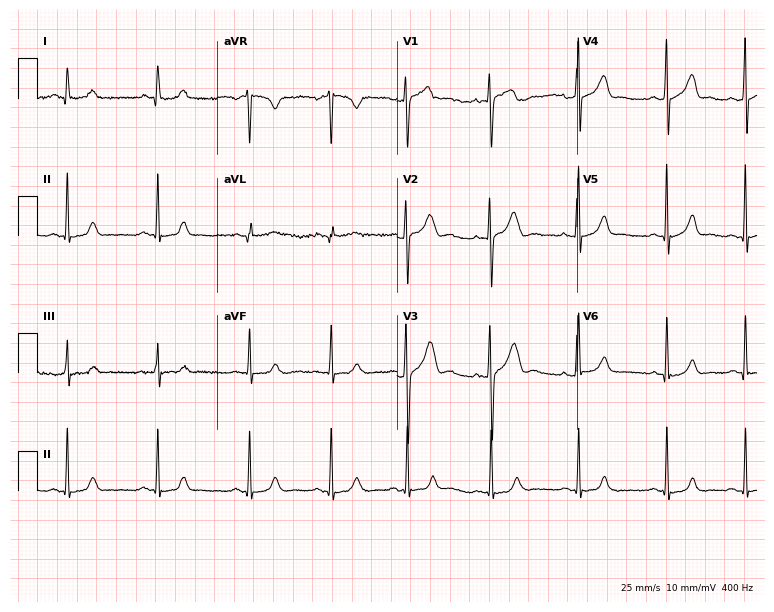
Standard 12-lead ECG recorded from a 20-year-old woman (7.3-second recording at 400 Hz). Read as a normal ECG.